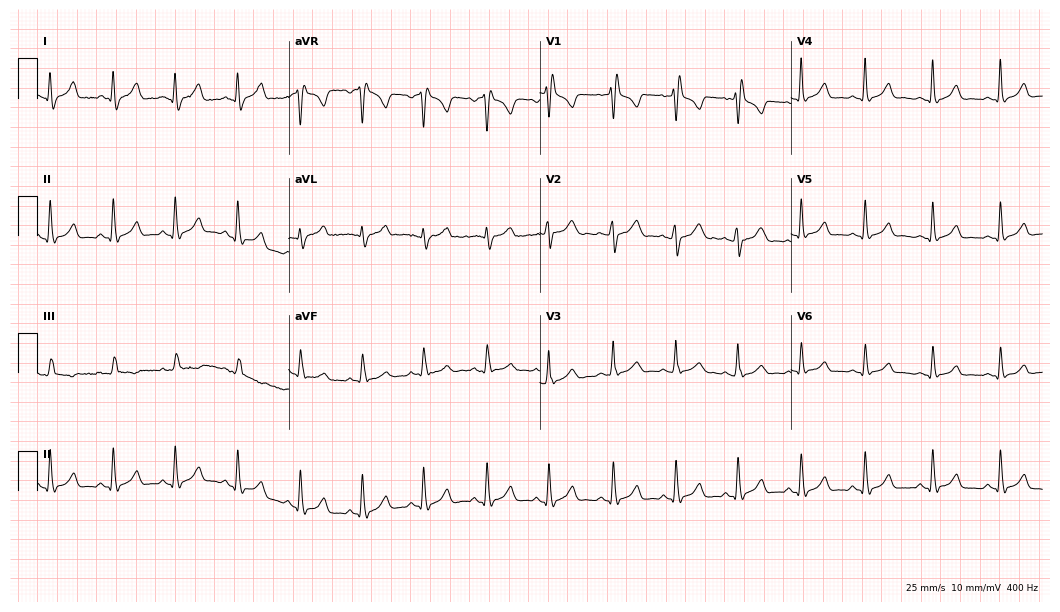
Electrocardiogram, a female, 31 years old. Of the six screened findings (first-degree AV block, right bundle branch block, left bundle branch block, sinus bradycardia, atrial fibrillation, sinus tachycardia), none is recorded. Findings outside these six are not listed.